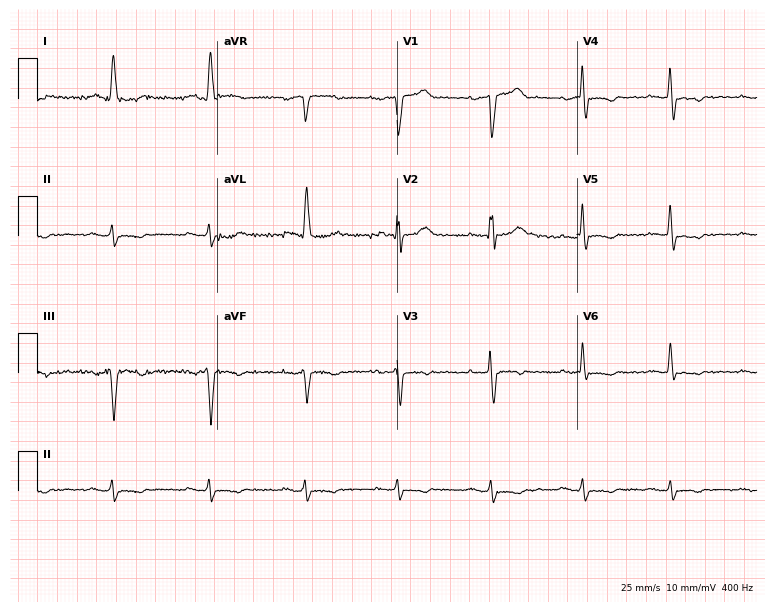
ECG — a 63-year-old male. Screened for six findings — first-degree AV block, right bundle branch block, left bundle branch block, sinus bradycardia, atrial fibrillation, sinus tachycardia — none is recorded. Only these six findings were labelled.